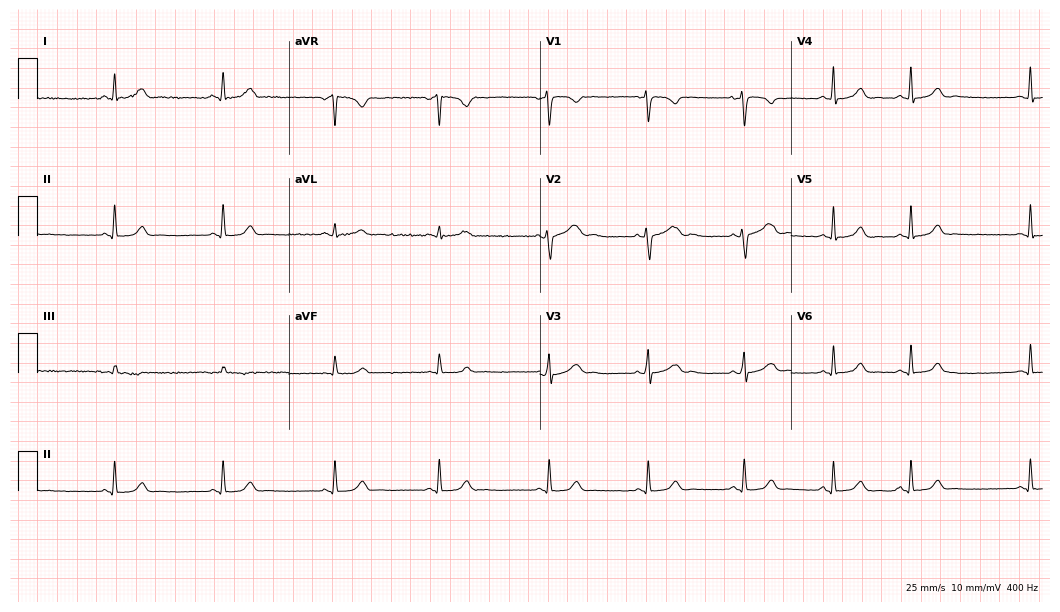
12-lead ECG (10.2-second recording at 400 Hz) from a female, 21 years old. Screened for six findings — first-degree AV block, right bundle branch block, left bundle branch block, sinus bradycardia, atrial fibrillation, sinus tachycardia — none is recorded.